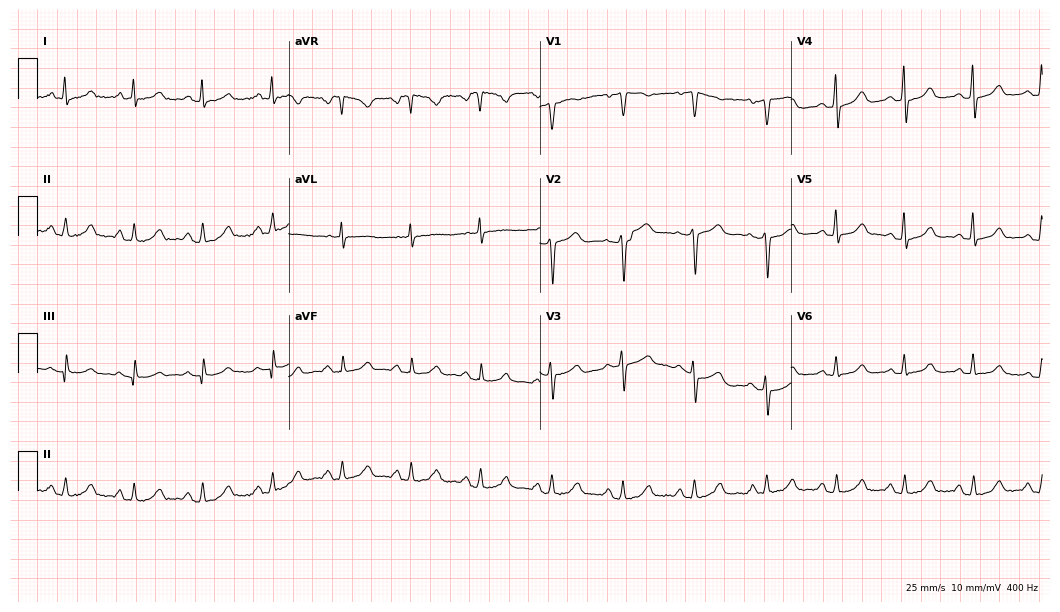
Resting 12-lead electrocardiogram. Patient: a 54-year-old female. Read as a normal ECG.